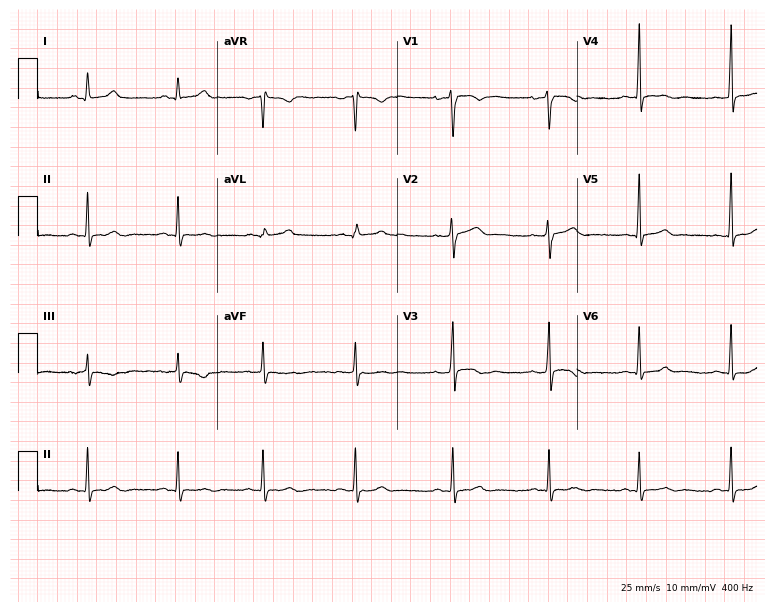
Resting 12-lead electrocardiogram (7.3-second recording at 400 Hz). Patient: a woman, 26 years old. None of these six findings is recorded: first-degree AV block, right bundle branch block, left bundle branch block, sinus bradycardia, atrial fibrillation, sinus tachycardia.